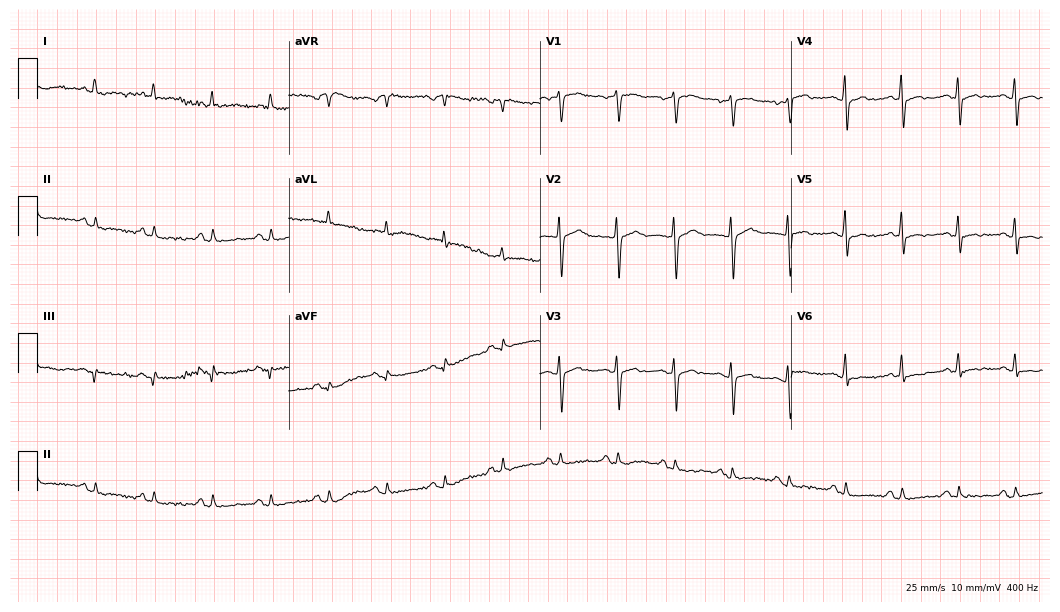
ECG (10.2-second recording at 400 Hz) — a 54-year-old female. Findings include sinus tachycardia (a sinus rate of 100 beats per minute or more).